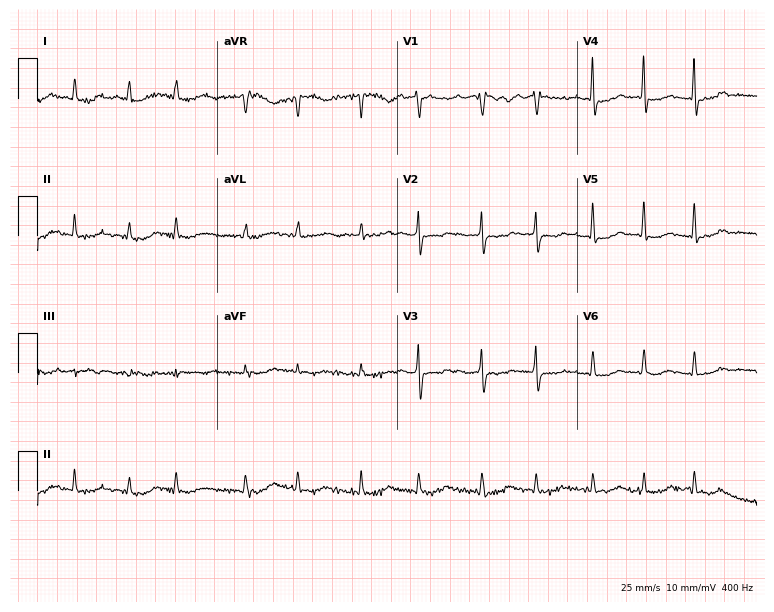
12-lead ECG from a 69-year-old female. Shows atrial fibrillation.